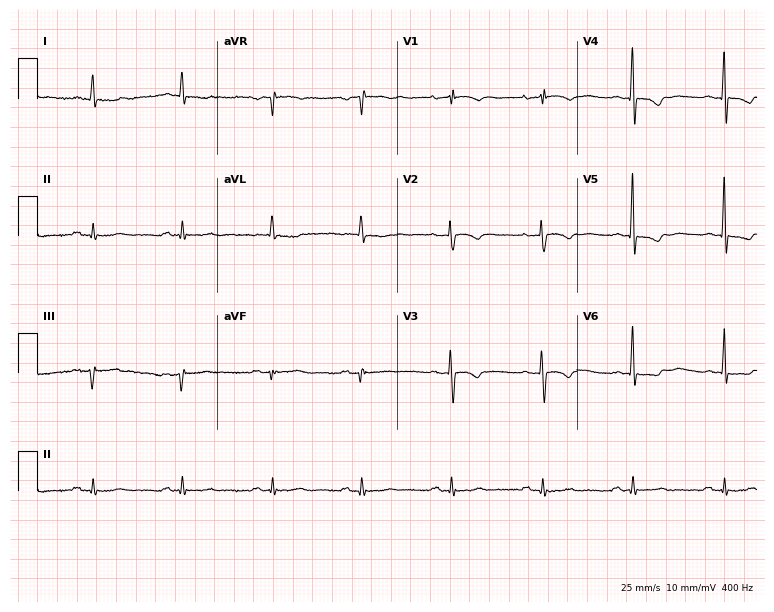
12-lead ECG from a woman, 77 years old (7.3-second recording at 400 Hz). No first-degree AV block, right bundle branch block, left bundle branch block, sinus bradycardia, atrial fibrillation or sinus tachycardia recorded for this tracing. Findings outside these six are not listed.